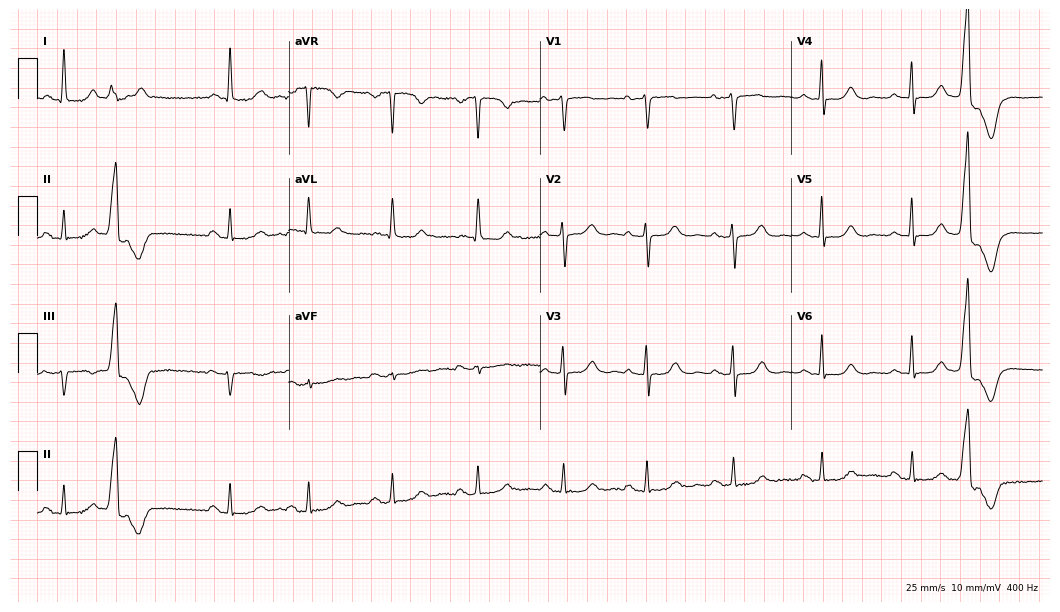
ECG — a female patient, 65 years old. Screened for six findings — first-degree AV block, right bundle branch block, left bundle branch block, sinus bradycardia, atrial fibrillation, sinus tachycardia — none is recorded. Only these six findings were labelled.